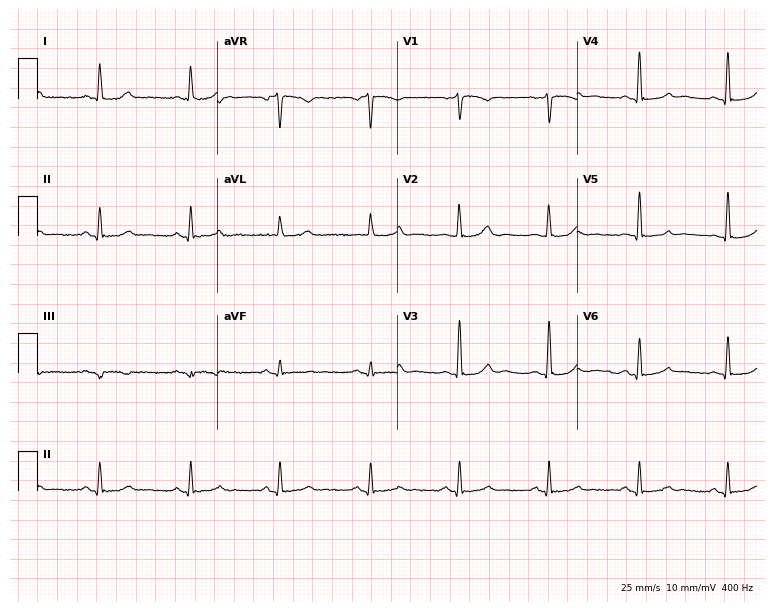
ECG — a 68-year-old female patient. Labelled as a normal ECG.